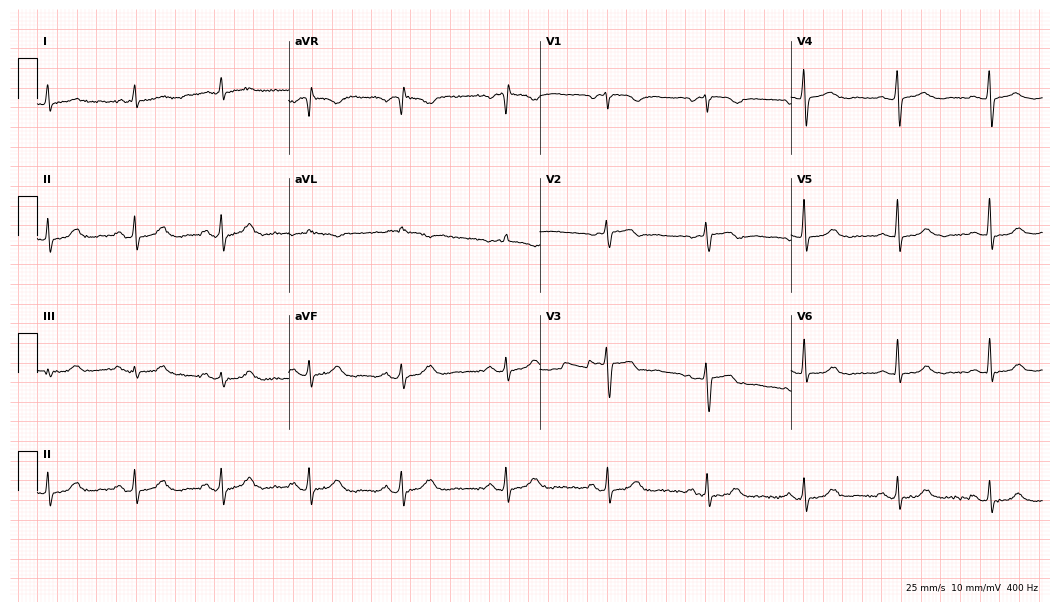
12-lead ECG from a 69-year-old female patient. Screened for six findings — first-degree AV block, right bundle branch block (RBBB), left bundle branch block (LBBB), sinus bradycardia, atrial fibrillation (AF), sinus tachycardia — none is recorded. Only these six findings were labelled.